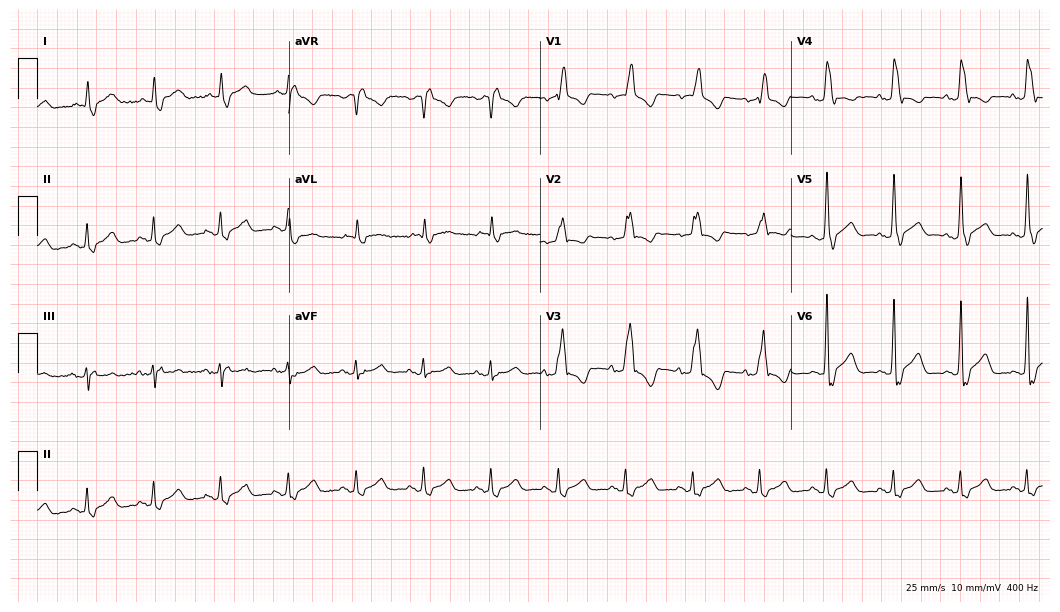
Standard 12-lead ECG recorded from a 68-year-old man (10.2-second recording at 400 Hz). The tracing shows right bundle branch block (RBBB).